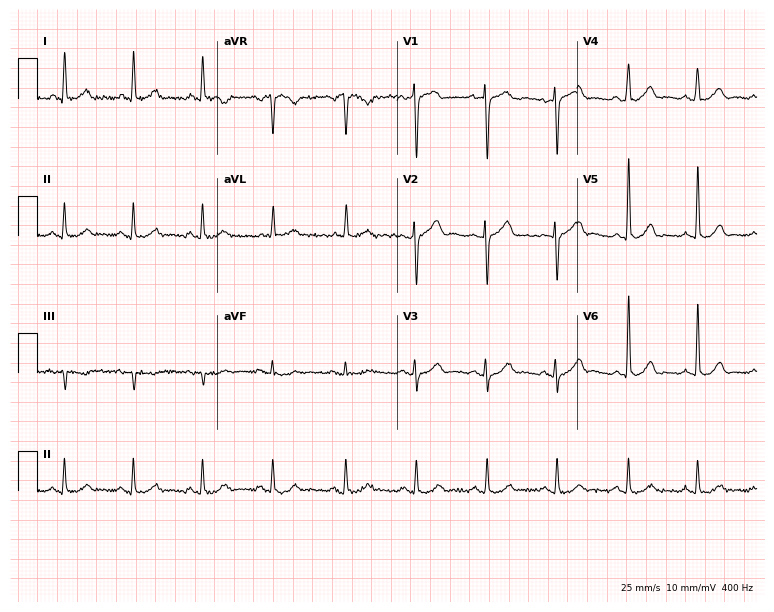
12-lead ECG from a female patient, 58 years old. Recorded interpretation: within normal limits.